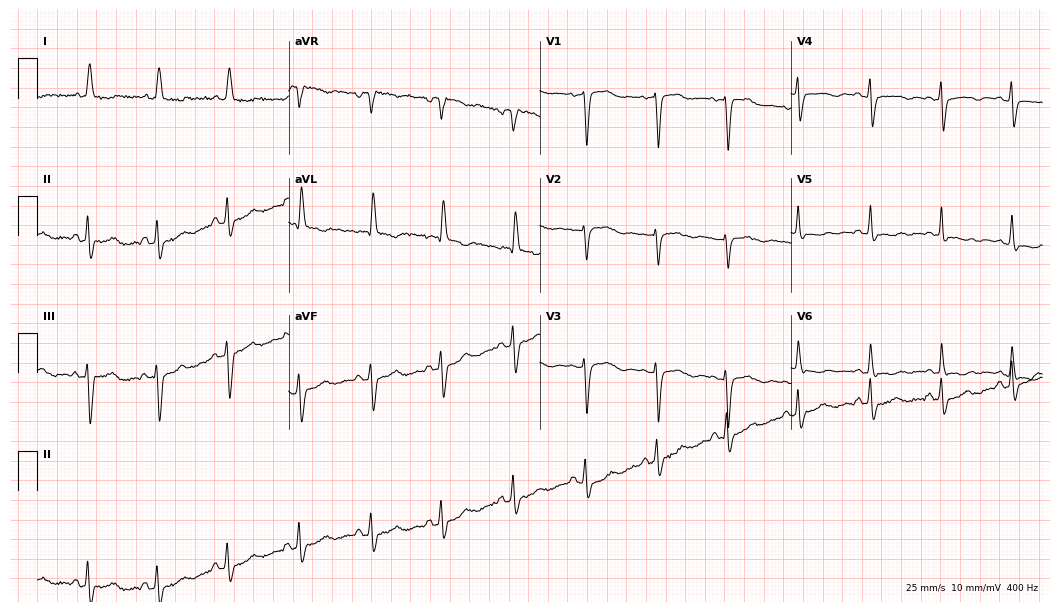
12-lead ECG from an 81-year-old female. Screened for six findings — first-degree AV block, right bundle branch block (RBBB), left bundle branch block (LBBB), sinus bradycardia, atrial fibrillation (AF), sinus tachycardia — none is recorded. Only these six findings were labelled.